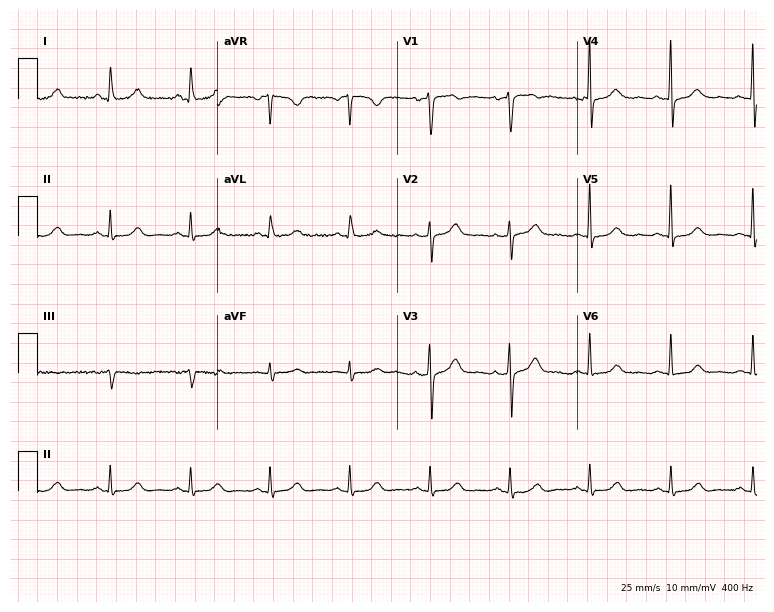
Electrocardiogram (7.3-second recording at 400 Hz), a female, 49 years old. Overall reading on record: normal ECG.